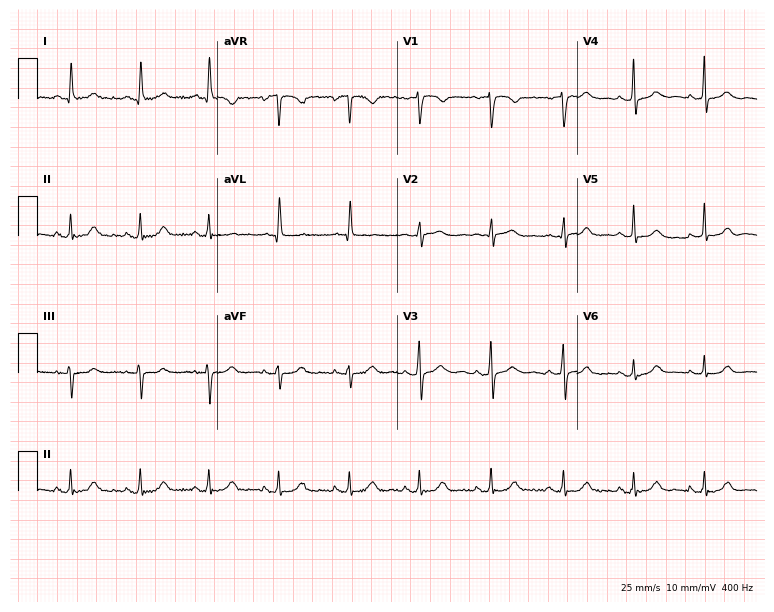
Electrocardiogram (7.3-second recording at 400 Hz), a female patient, 65 years old. Overall reading on record: normal ECG.